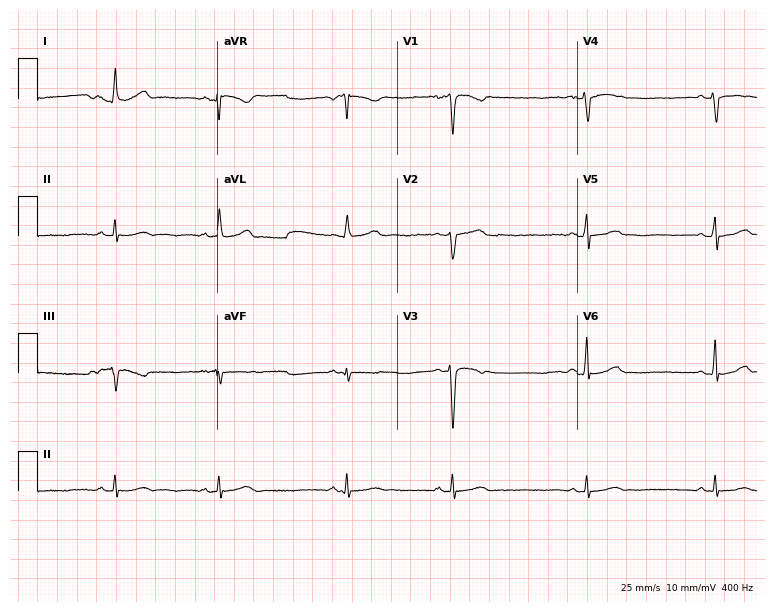
12-lead ECG (7.3-second recording at 400 Hz) from a 27-year-old woman. Labelled as a normal ECG.